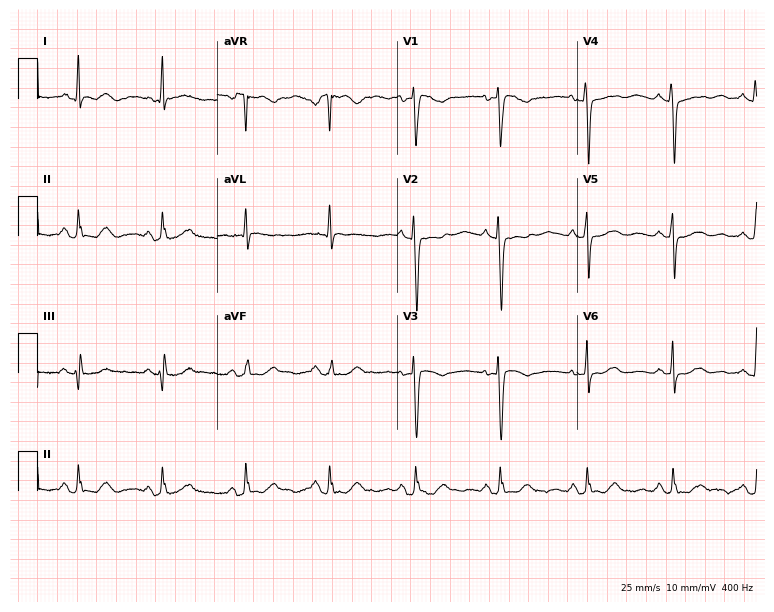
Electrocardiogram (7.3-second recording at 400 Hz), a female, 67 years old. Of the six screened findings (first-degree AV block, right bundle branch block (RBBB), left bundle branch block (LBBB), sinus bradycardia, atrial fibrillation (AF), sinus tachycardia), none is recorded. Only these six findings were labelled.